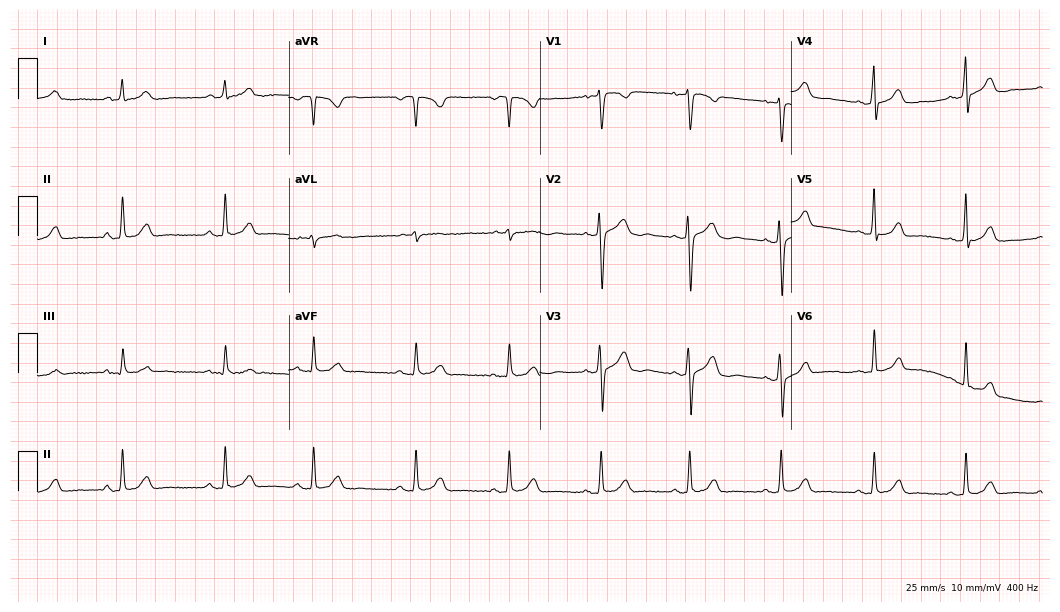
12-lead ECG from a 25-year-old female (10.2-second recording at 400 Hz). Recorded interpretation: within normal limits.